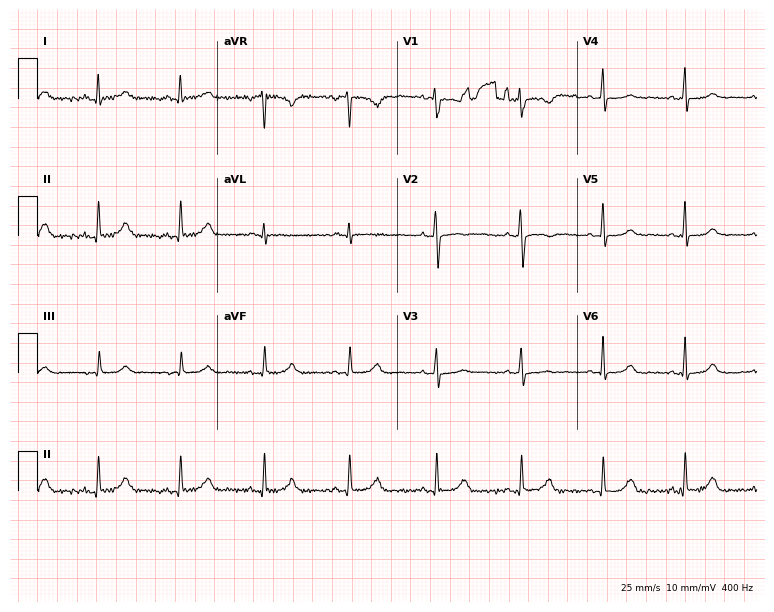
Electrocardiogram (7.3-second recording at 400 Hz), a 51-year-old woman. Overall reading on record: normal ECG.